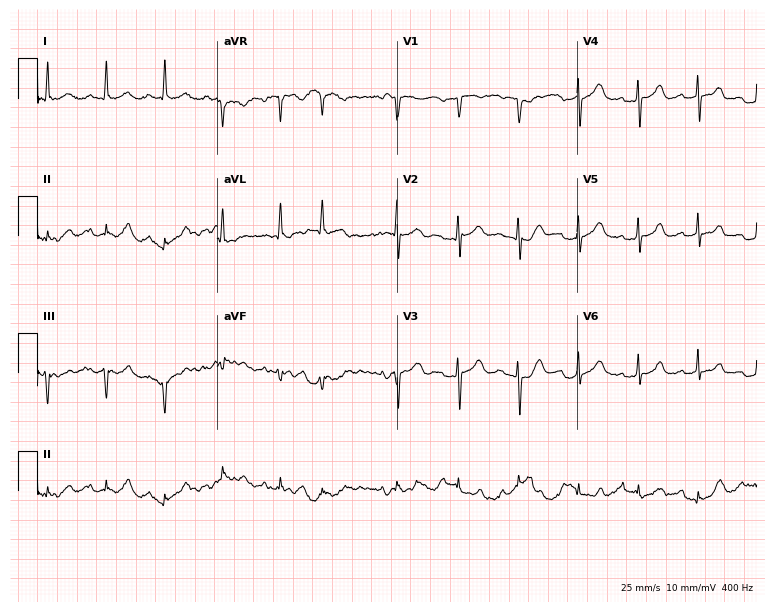
Standard 12-lead ECG recorded from a female, 81 years old. None of these six findings is recorded: first-degree AV block, right bundle branch block (RBBB), left bundle branch block (LBBB), sinus bradycardia, atrial fibrillation (AF), sinus tachycardia.